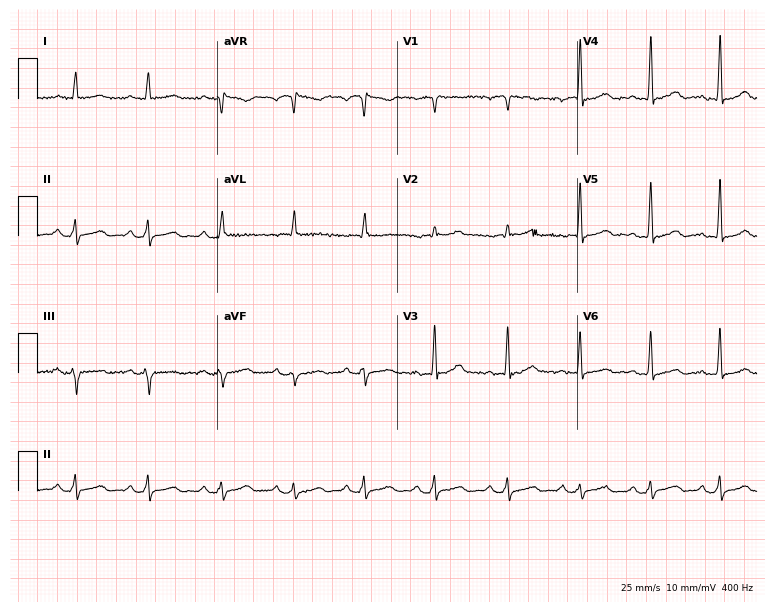
ECG — a male patient, 75 years old. Screened for six findings — first-degree AV block, right bundle branch block (RBBB), left bundle branch block (LBBB), sinus bradycardia, atrial fibrillation (AF), sinus tachycardia — none is recorded. Other findings, if any, are not listed.